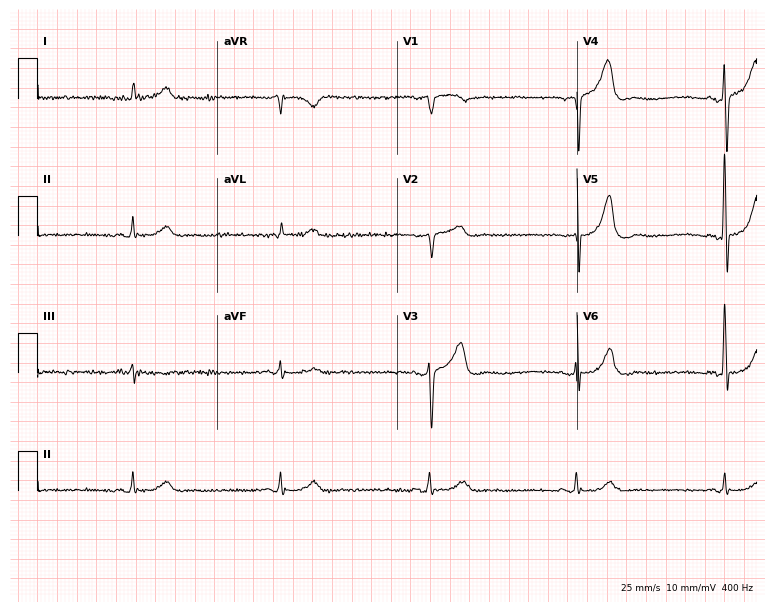
12-lead ECG from a 79-year-old man. No first-degree AV block, right bundle branch block, left bundle branch block, sinus bradycardia, atrial fibrillation or sinus tachycardia recorded for this tracing.